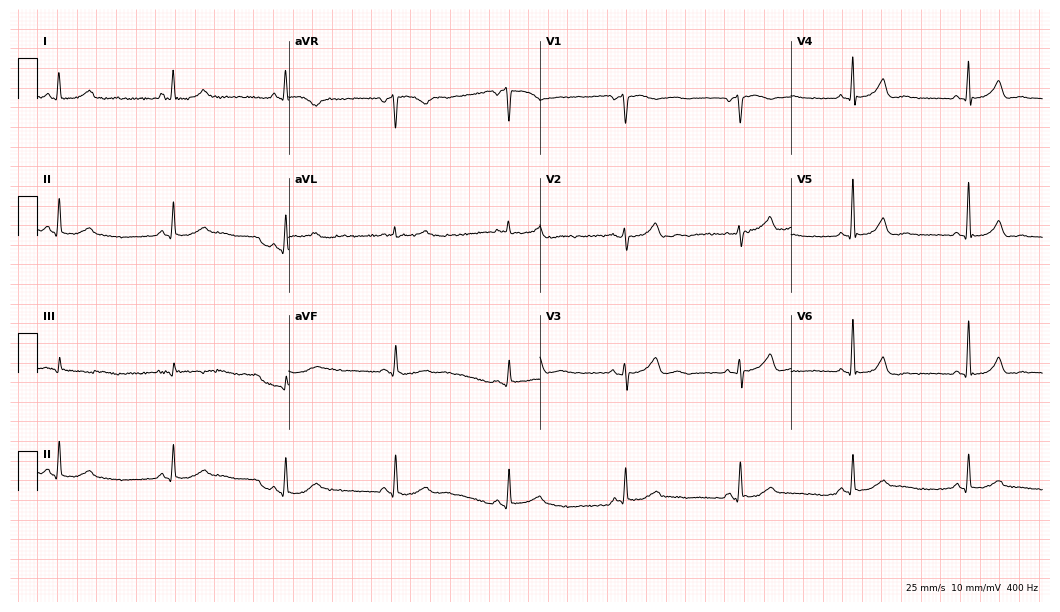
Electrocardiogram (10.2-second recording at 400 Hz), a woman, 48 years old. Of the six screened findings (first-degree AV block, right bundle branch block (RBBB), left bundle branch block (LBBB), sinus bradycardia, atrial fibrillation (AF), sinus tachycardia), none is recorded. Other findings, if any, are not listed.